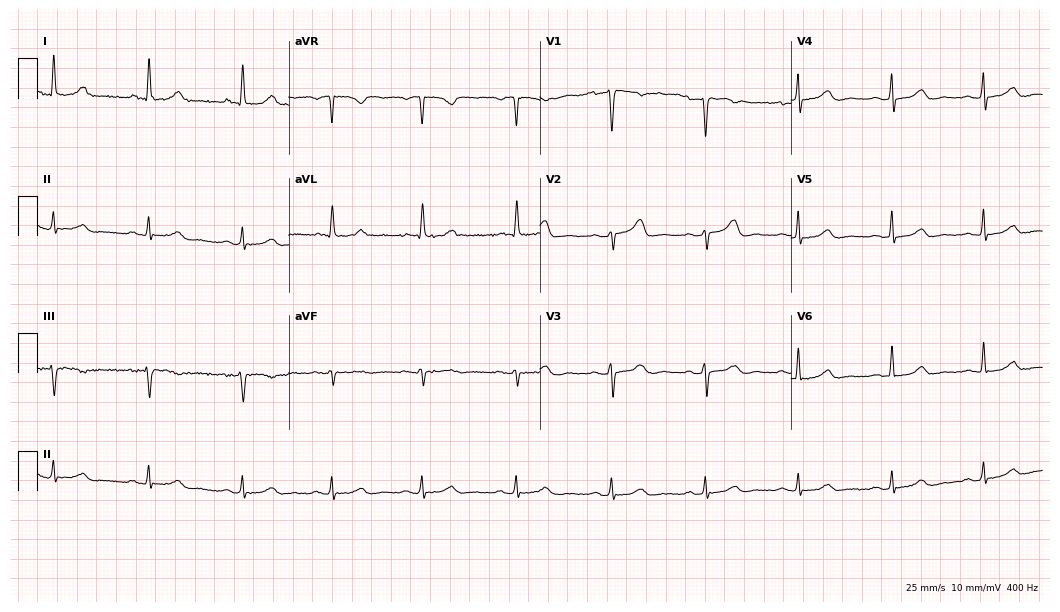
Standard 12-lead ECG recorded from a female, 55 years old (10.2-second recording at 400 Hz). Read as a normal ECG.